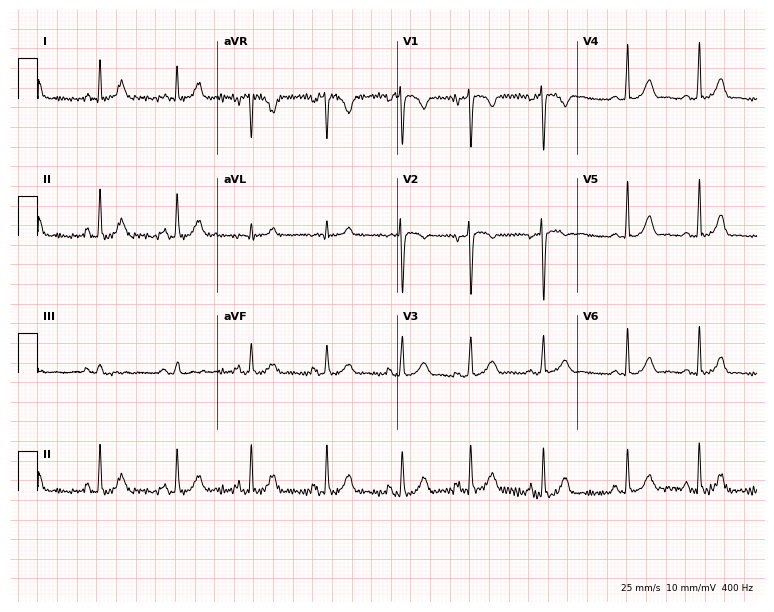
Electrocardiogram (7.3-second recording at 400 Hz), a woman, 22 years old. Overall reading on record: normal ECG.